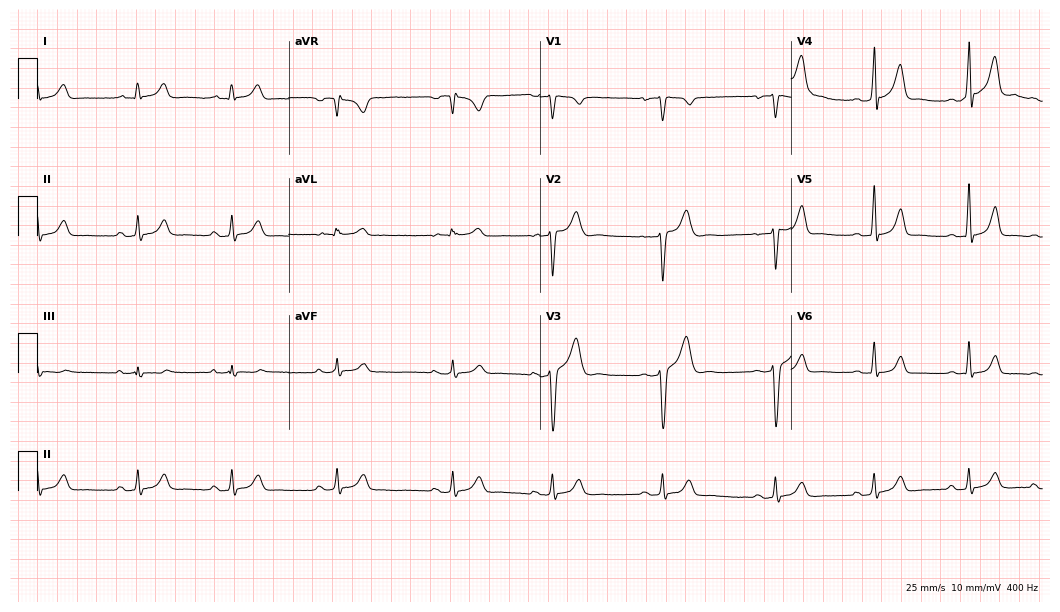
Resting 12-lead electrocardiogram (10.2-second recording at 400 Hz). Patient: a man, 25 years old. Read as a normal ECG.